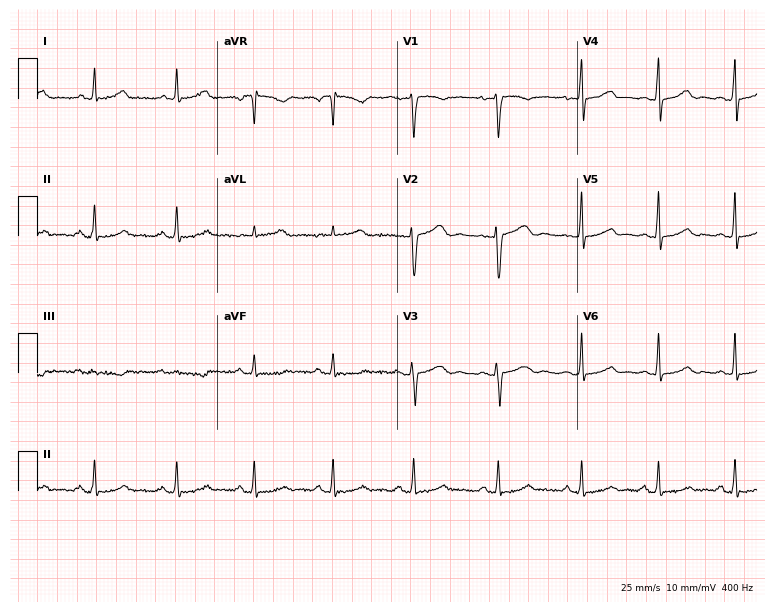
12-lead ECG from a woman, 32 years old (7.3-second recording at 400 Hz). No first-degree AV block, right bundle branch block, left bundle branch block, sinus bradycardia, atrial fibrillation or sinus tachycardia recorded for this tracing.